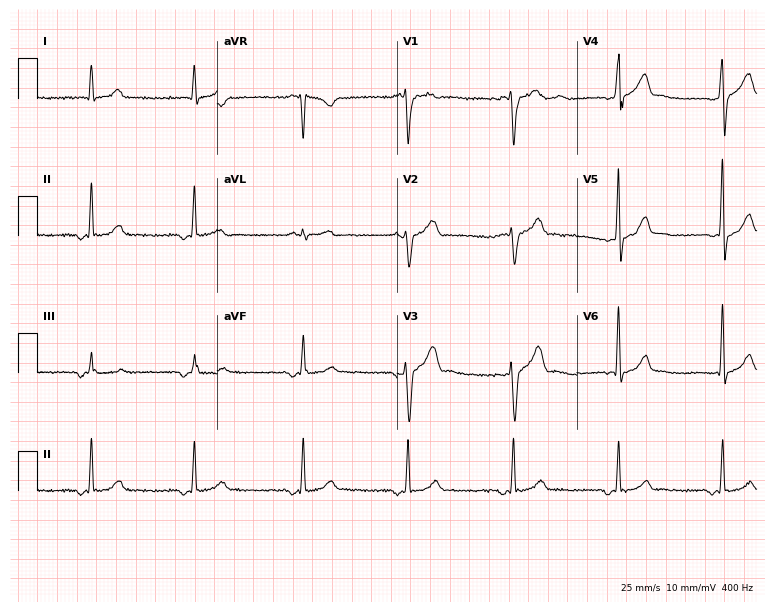
12-lead ECG (7.3-second recording at 400 Hz) from a male, 58 years old. Screened for six findings — first-degree AV block, right bundle branch block, left bundle branch block, sinus bradycardia, atrial fibrillation, sinus tachycardia — none is recorded.